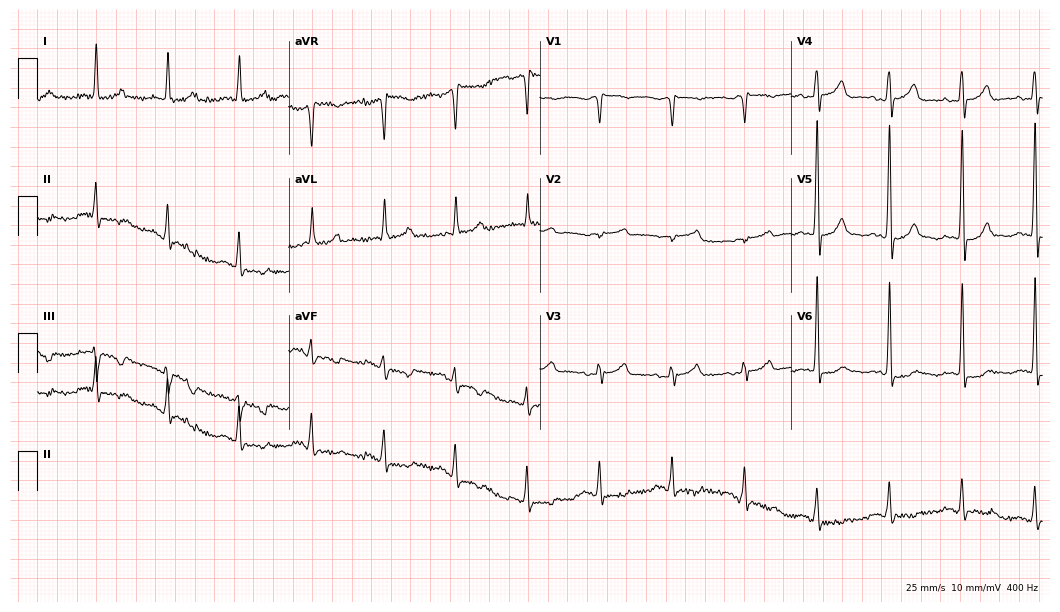
12-lead ECG (10.2-second recording at 400 Hz) from a female patient, 78 years old. Screened for six findings — first-degree AV block, right bundle branch block, left bundle branch block, sinus bradycardia, atrial fibrillation, sinus tachycardia — none is recorded.